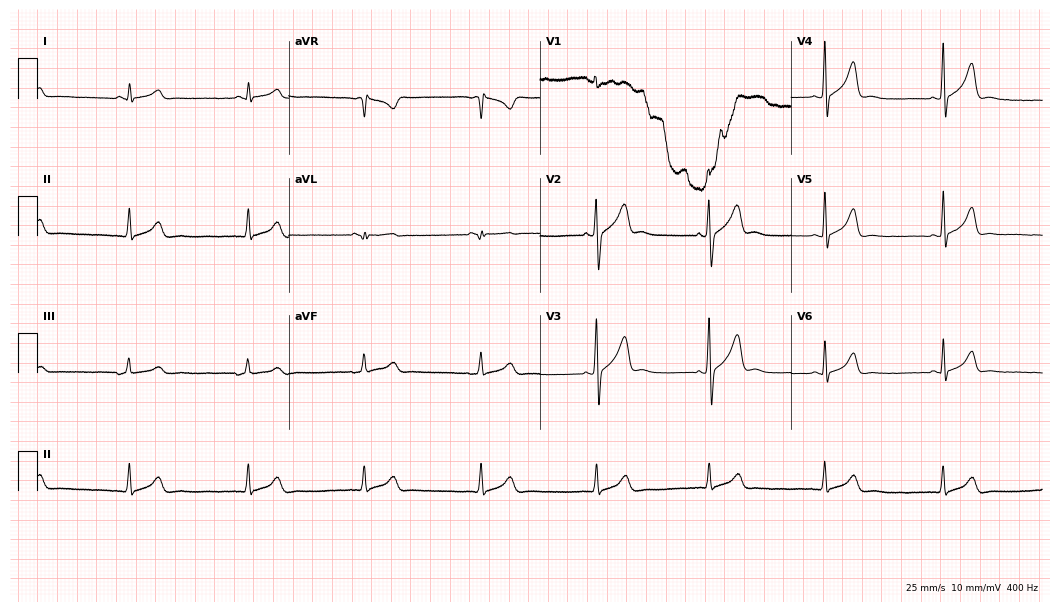
Electrocardiogram, a man, 32 years old. Of the six screened findings (first-degree AV block, right bundle branch block, left bundle branch block, sinus bradycardia, atrial fibrillation, sinus tachycardia), none is recorded.